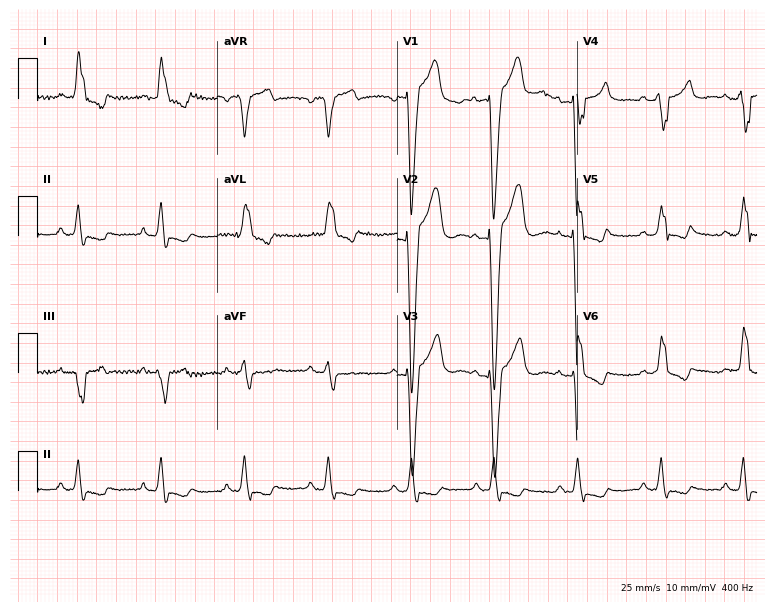
Resting 12-lead electrocardiogram. Patient: a man, 79 years old. The tracing shows left bundle branch block.